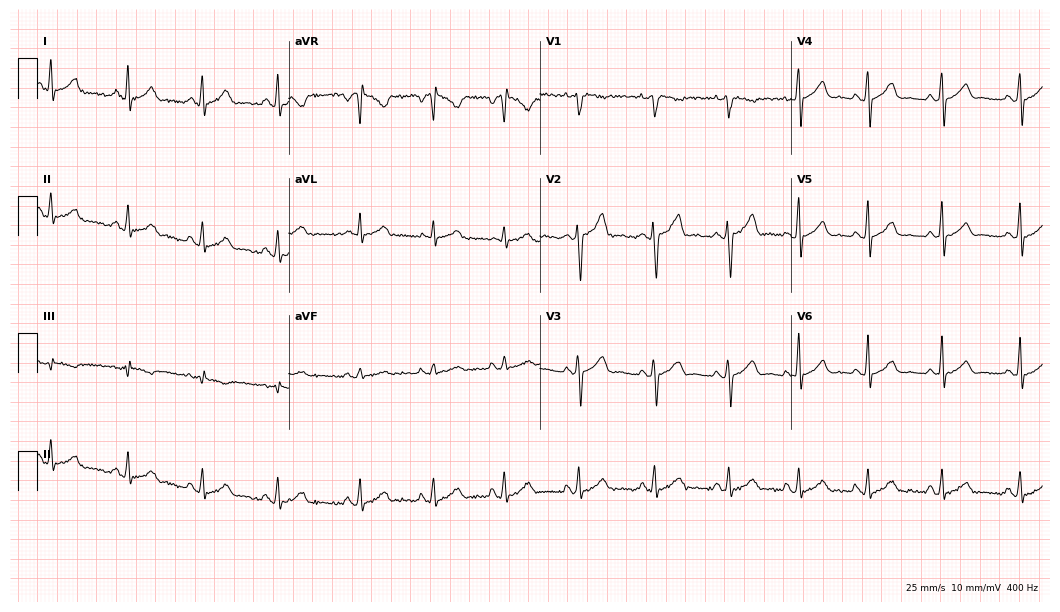
Standard 12-lead ECG recorded from a female, 31 years old. Read as a normal ECG.